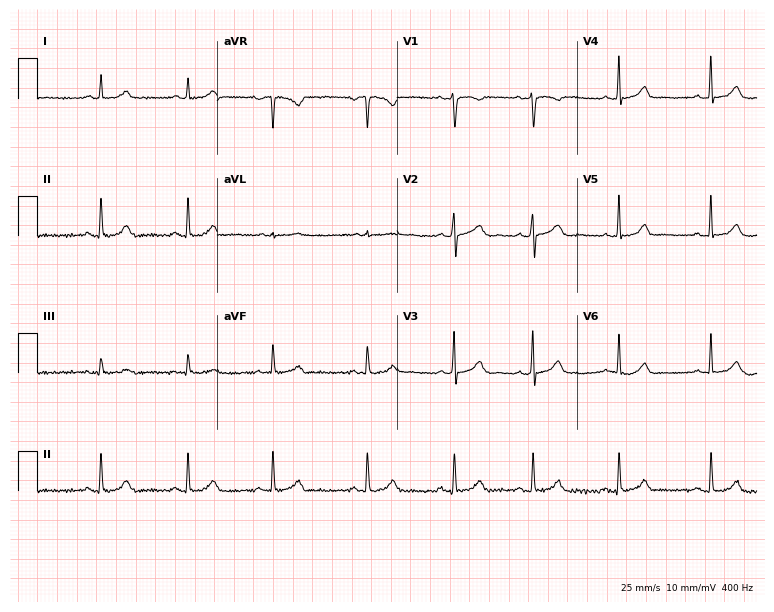
12-lead ECG from a 23-year-old female (7.3-second recording at 400 Hz). Recorded interpretation: within normal limits.